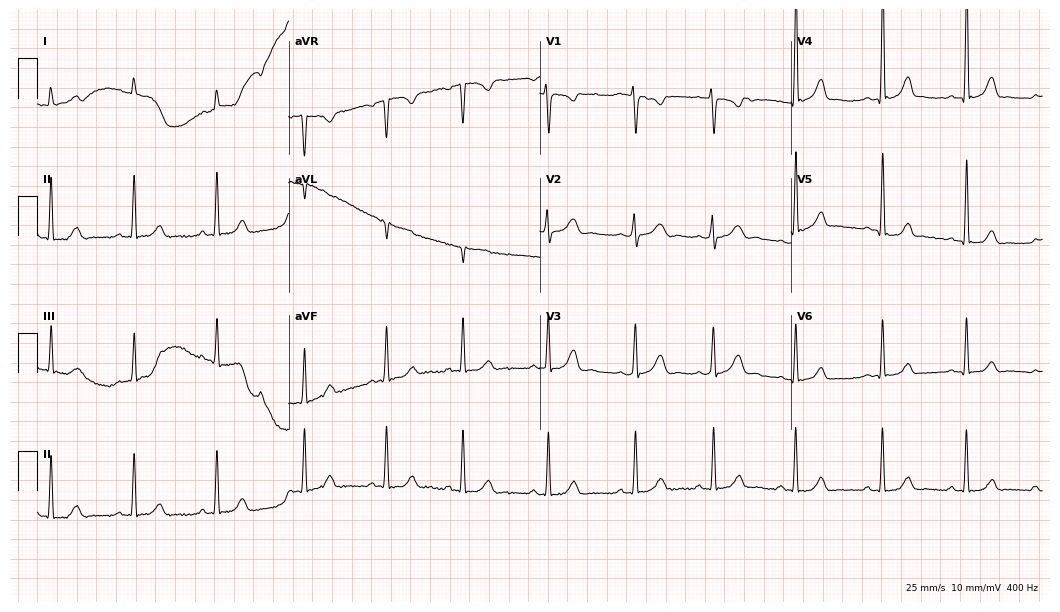
12-lead ECG from a 24-year-old female patient (10.2-second recording at 400 Hz). Recorded interpretation: within normal limits.